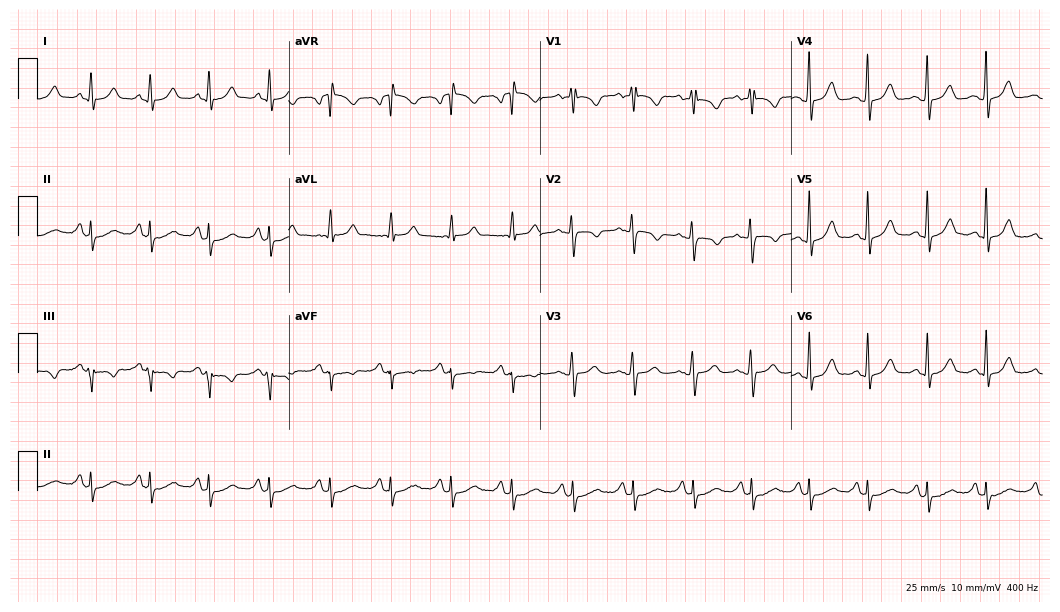
Standard 12-lead ECG recorded from a 52-year-old female. None of these six findings is recorded: first-degree AV block, right bundle branch block, left bundle branch block, sinus bradycardia, atrial fibrillation, sinus tachycardia.